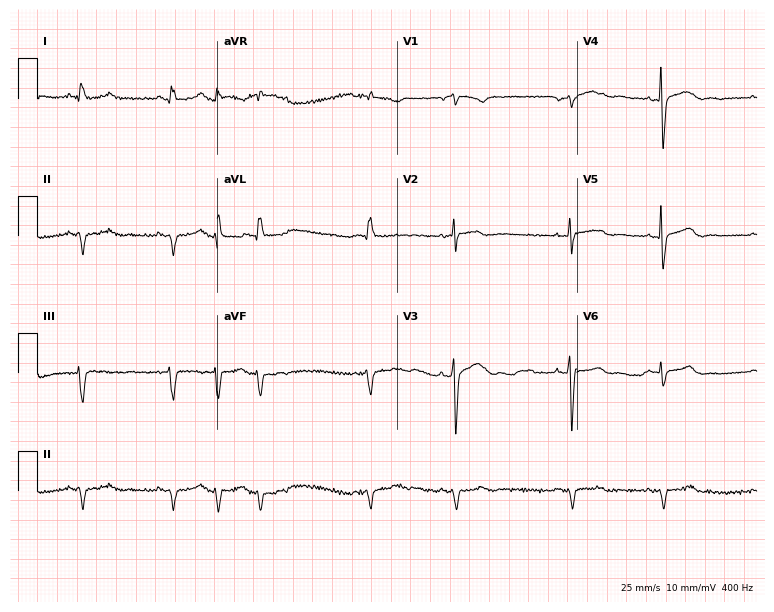
ECG (7.3-second recording at 400 Hz) — a man, 77 years old. Screened for six findings — first-degree AV block, right bundle branch block (RBBB), left bundle branch block (LBBB), sinus bradycardia, atrial fibrillation (AF), sinus tachycardia — none is recorded. Other findings, if any, are not listed.